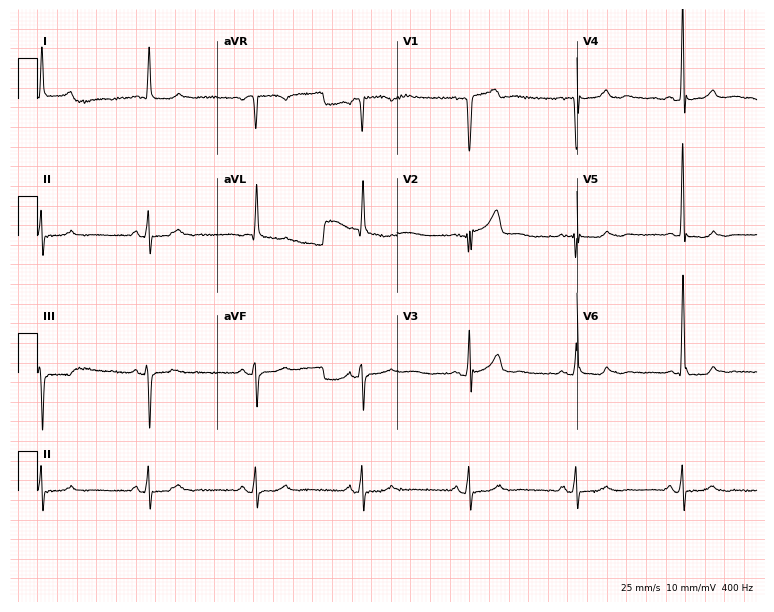
Standard 12-lead ECG recorded from a male patient, 81 years old. None of these six findings is recorded: first-degree AV block, right bundle branch block (RBBB), left bundle branch block (LBBB), sinus bradycardia, atrial fibrillation (AF), sinus tachycardia.